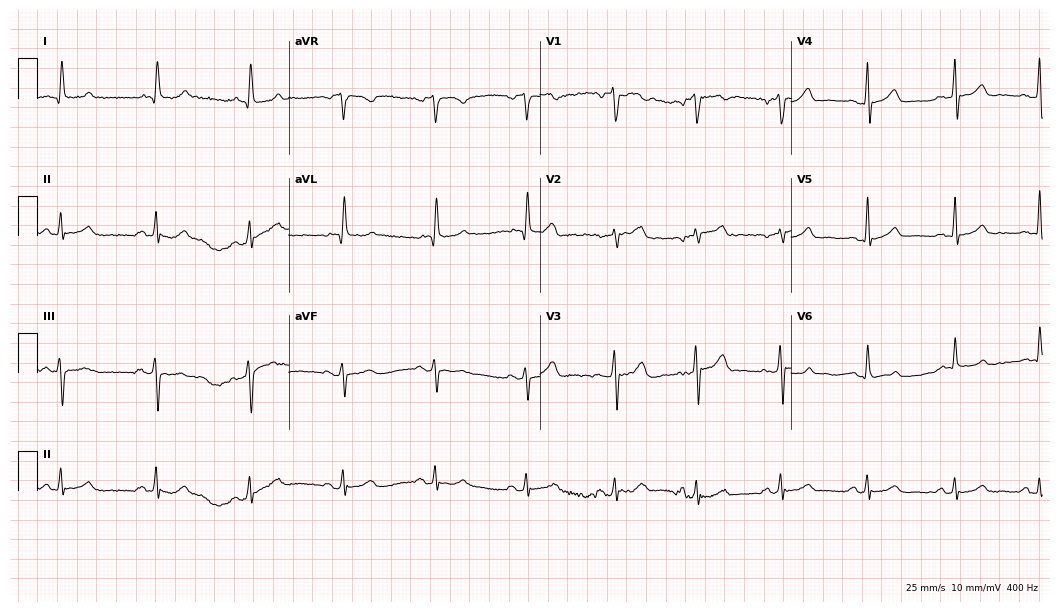
ECG (10.2-second recording at 400 Hz) — a 39-year-old male patient. Labelled as a normal ECG.